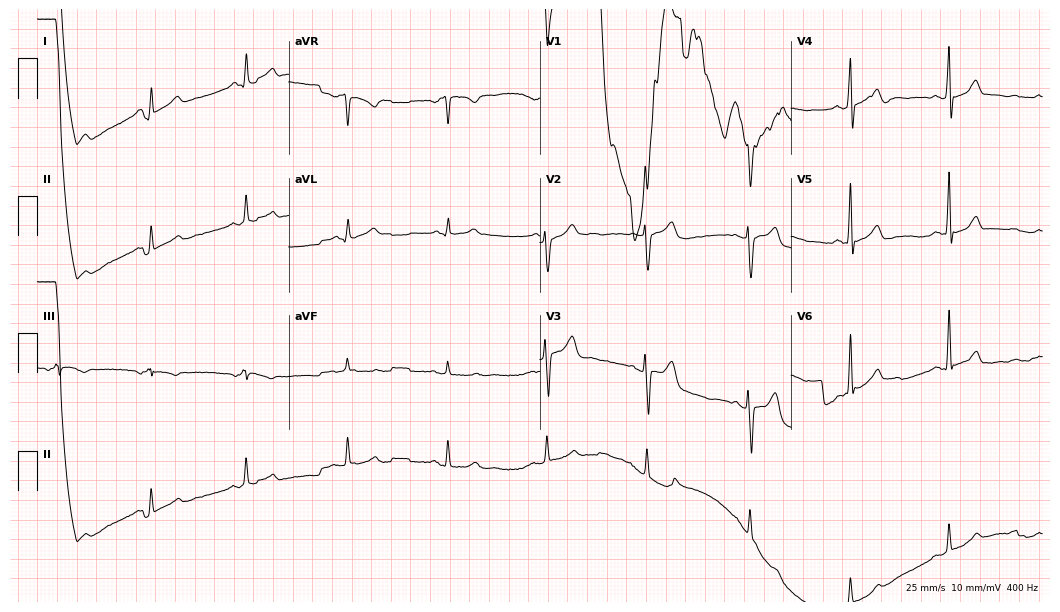
Resting 12-lead electrocardiogram (10.2-second recording at 400 Hz). Patient: a 30-year-old male. None of these six findings is recorded: first-degree AV block, right bundle branch block (RBBB), left bundle branch block (LBBB), sinus bradycardia, atrial fibrillation (AF), sinus tachycardia.